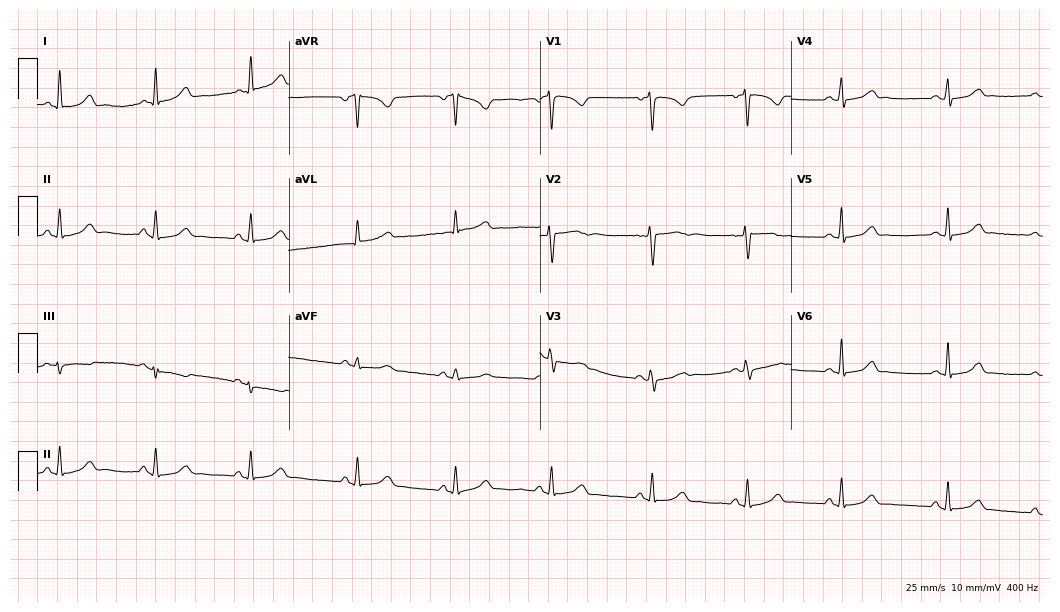
Standard 12-lead ECG recorded from a female patient, 23 years old. Read as a normal ECG.